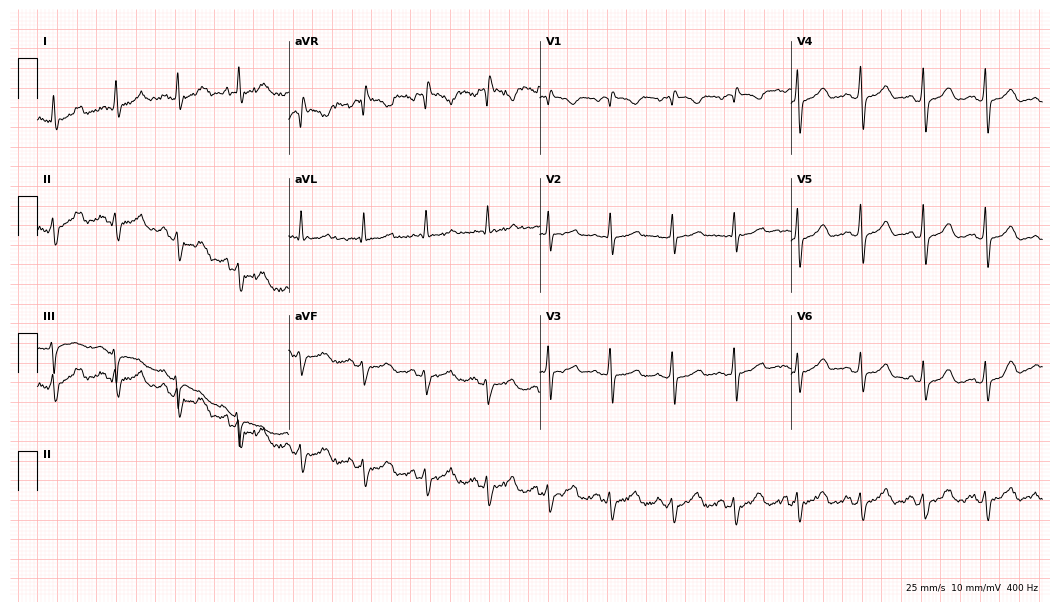
Electrocardiogram, a female patient, 63 years old. Of the six screened findings (first-degree AV block, right bundle branch block, left bundle branch block, sinus bradycardia, atrial fibrillation, sinus tachycardia), none is recorded. Other findings, if any, are not listed.